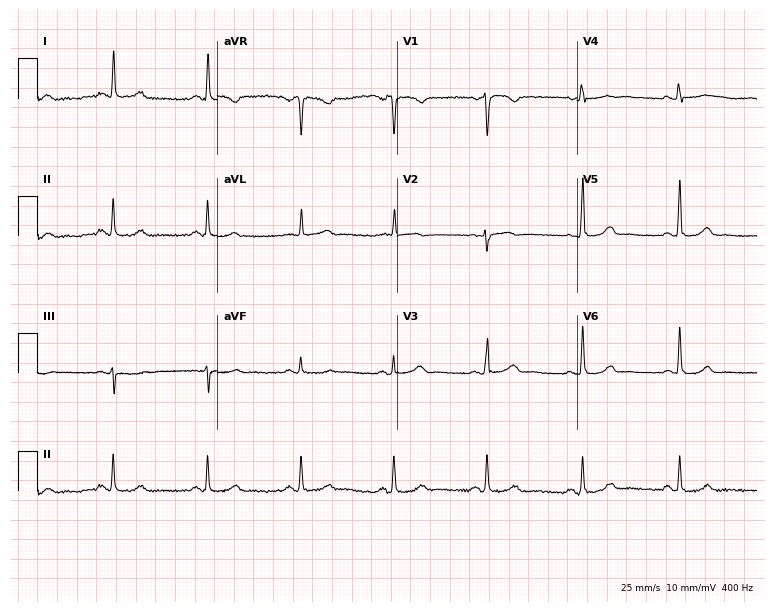
ECG — a woman, 58 years old. Screened for six findings — first-degree AV block, right bundle branch block (RBBB), left bundle branch block (LBBB), sinus bradycardia, atrial fibrillation (AF), sinus tachycardia — none is recorded. Findings outside these six are not listed.